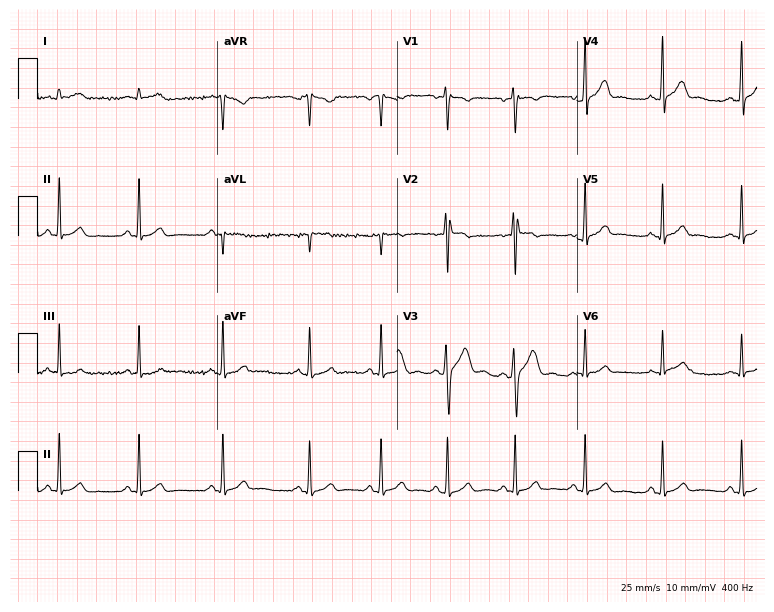
Electrocardiogram (7.3-second recording at 400 Hz), a 23-year-old male patient. Of the six screened findings (first-degree AV block, right bundle branch block (RBBB), left bundle branch block (LBBB), sinus bradycardia, atrial fibrillation (AF), sinus tachycardia), none is recorded.